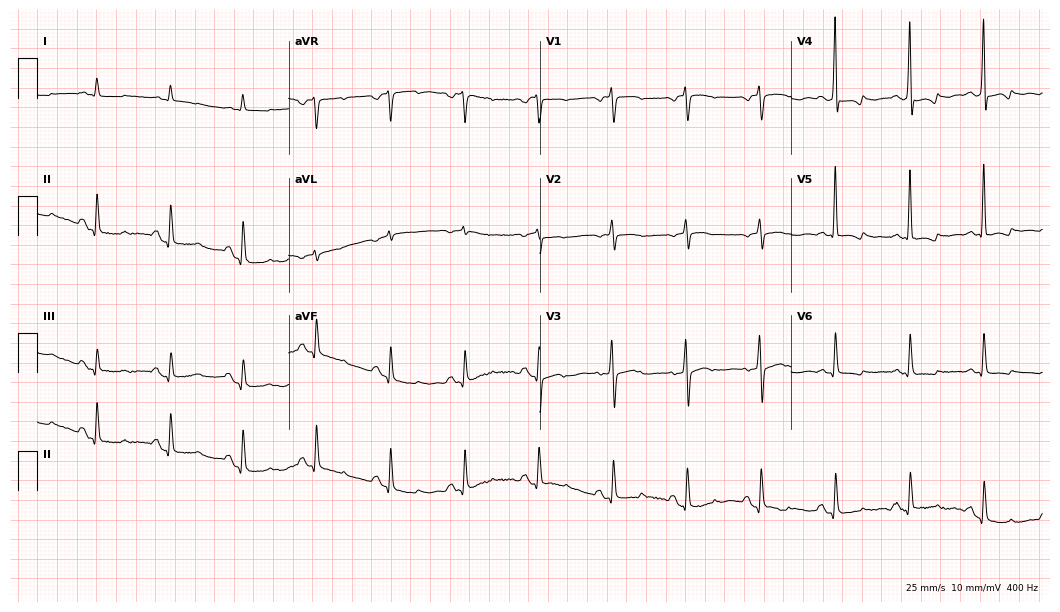
Resting 12-lead electrocardiogram. Patient: a 76-year-old female. None of these six findings is recorded: first-degree AV block, right bundle branch block, left bundle branch block, sinus bradycardia, atrial fibrillation, sinus tachycardia. Only these six findings were labelled.